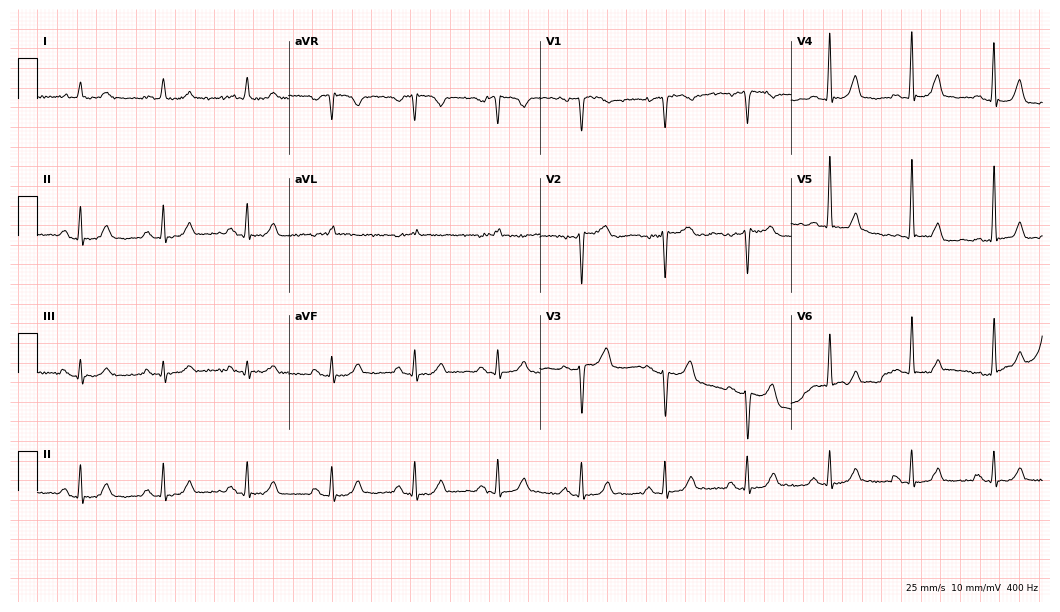
Standard 12-lead ECG recorded from a 77-year-old female patient (10.2-second recording at 400 Hz). Read as a normal ECG.